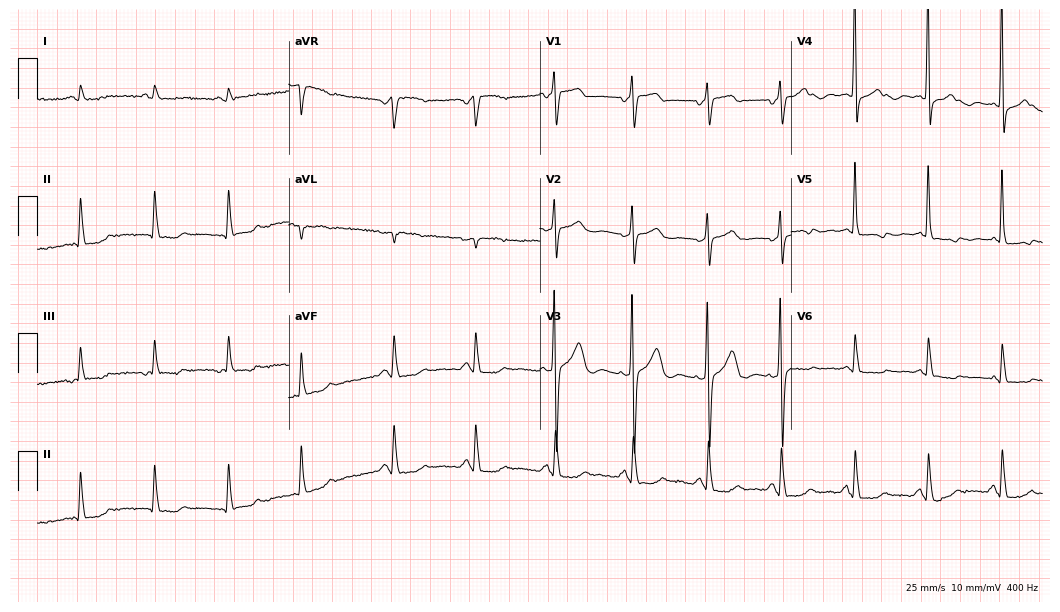
12-lead ECG from a female patient, 73 years old. No first-degree AV block, right bundle branch block, left bundle branch block, sinus bradycardia, atrial fibrillation or sinus tachycardia recorded for this tracing. Only these six findings were labelled.